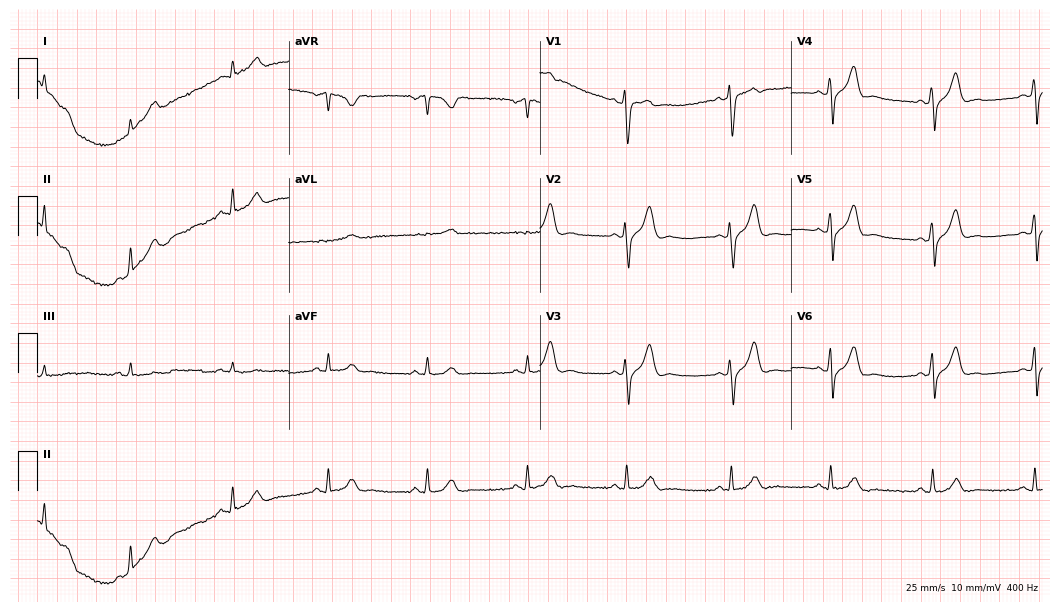
12-lead ECG (10.2-second recording at 400 Hz) from a male, 30 years old. Screened for six findings — first-degree AV block, right bundle branch block, left bundle branch block, sinus bradycardia, atrial fibrillation, sinus tachycardia — none is recorded.